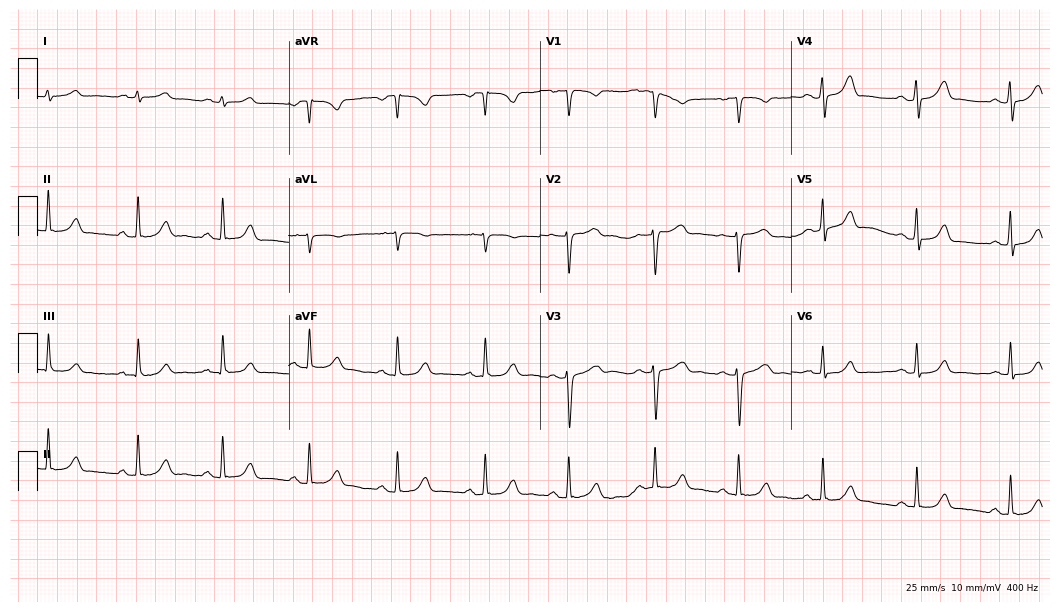
12-lead ECG from a woman, 28 years old (10.2-second recording at 400 Hz). Recorded interpretation: within normal limits.